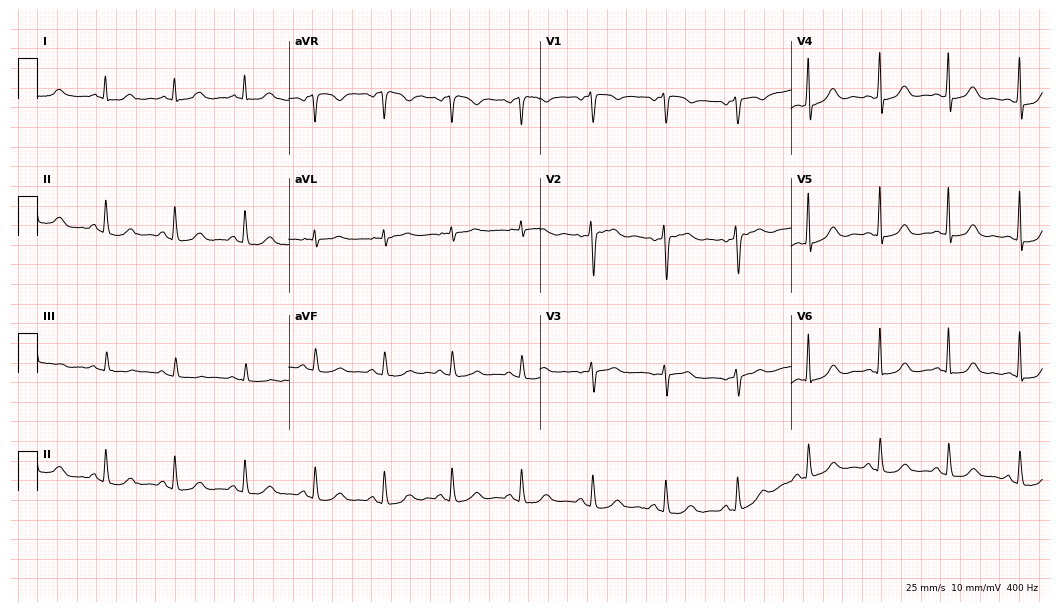
Standard 12-lead ECG recorded from a 54-year-old woman. Read as a normal ECG.